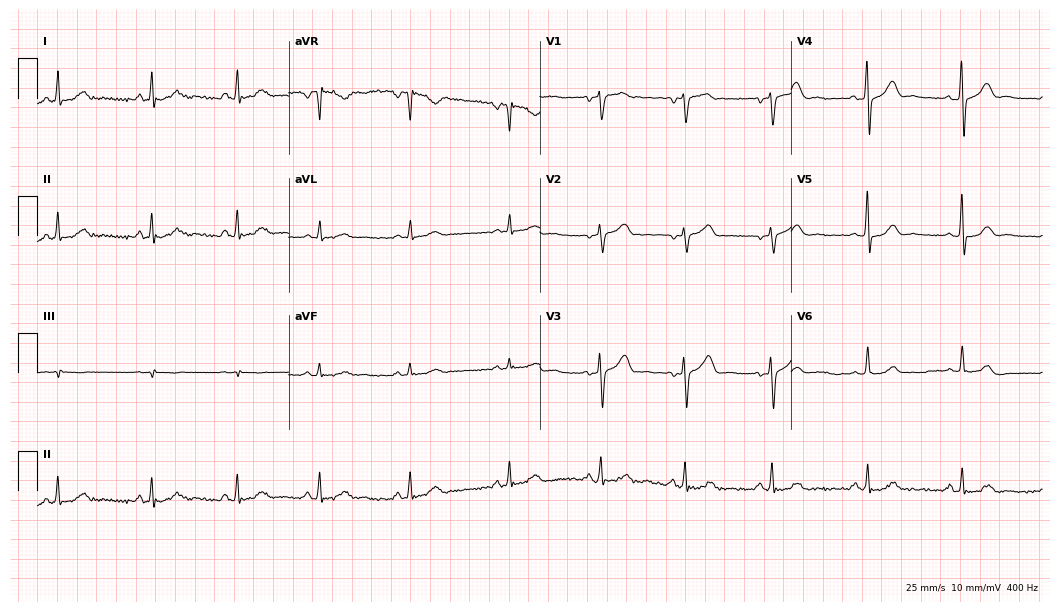
12-lead ECG from a female patient, 43 years old. Recorded interpretation: within normal limits.